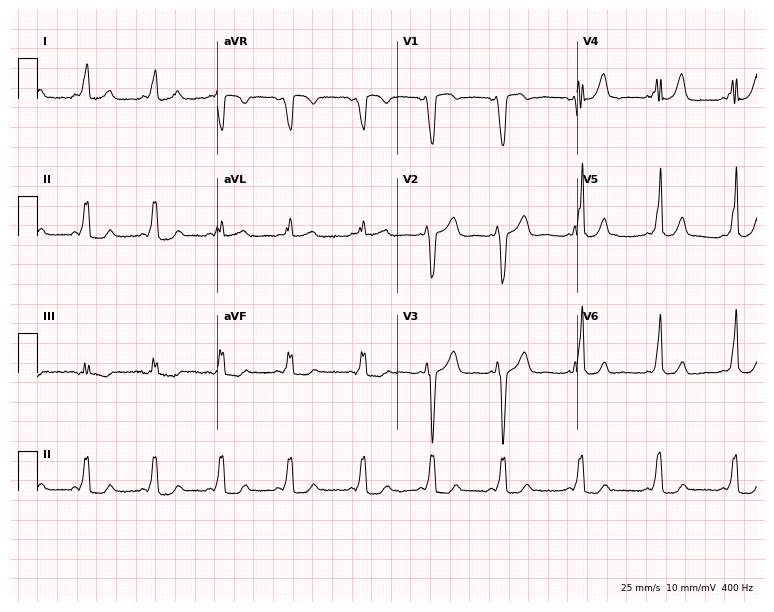
Resting 12-lead electrocardiogram. Patient: a 21-year-old female. None of these six findings is recorded: first-degree AV block, right bundle branch block, left bundle branch block, sinus bradycardia, atrial fibrillation, sinus tachycardia.